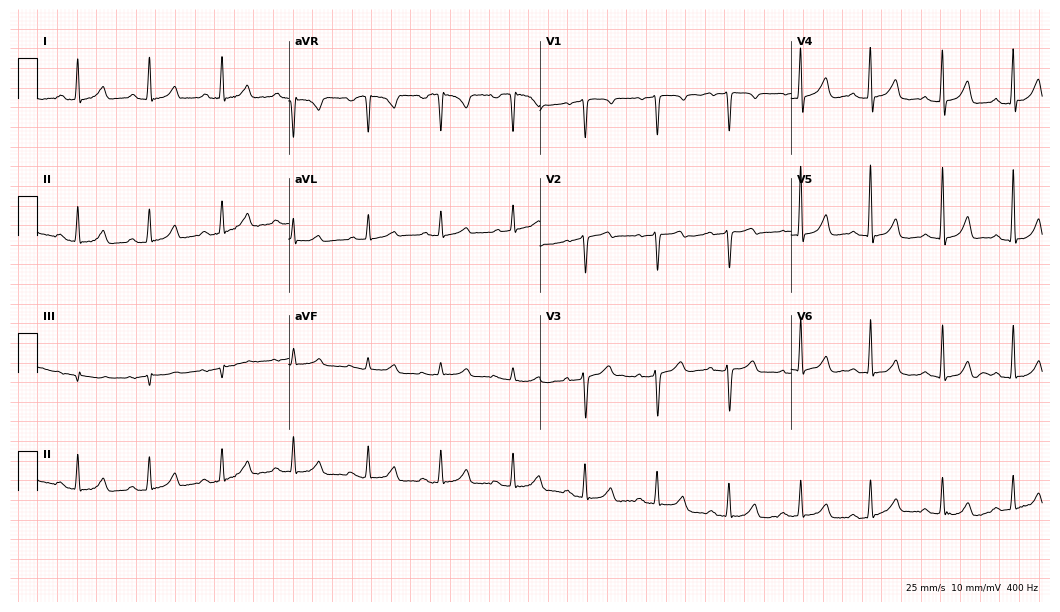
Standard 12-lead ECG recorded from a female, 61 years old (10.2-second recording at 400 Hz). Read as a normal ECG.